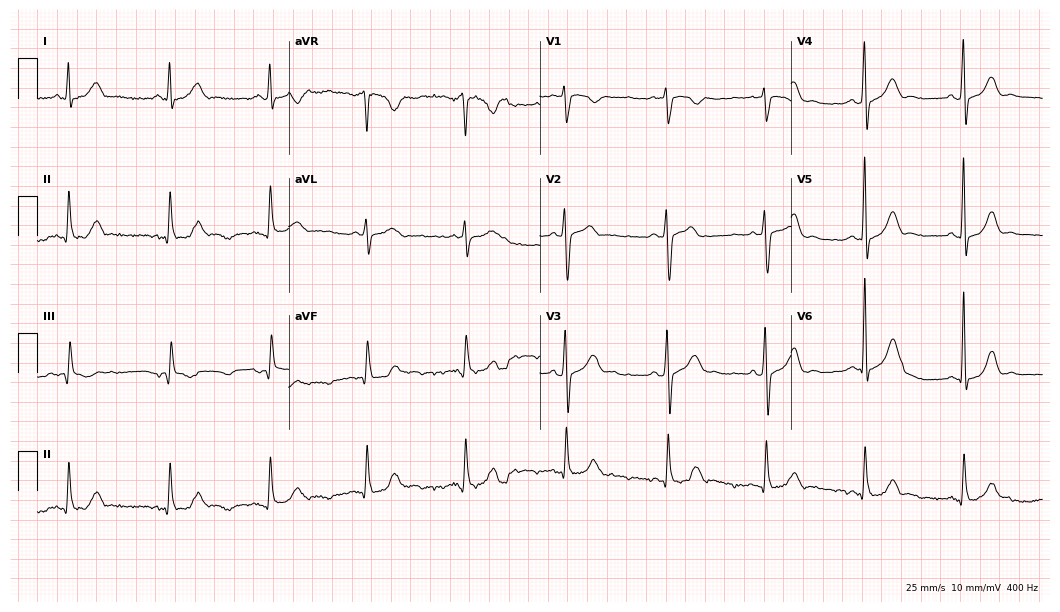
12-lead ECG from a man, 53 years old. No first-degree AV block, right bundle branch block, left bundle branch block, sinus bradycardia, atrial fibrillation or sinus tachycardia recorded for this tracing. Only these six findings were labelled.